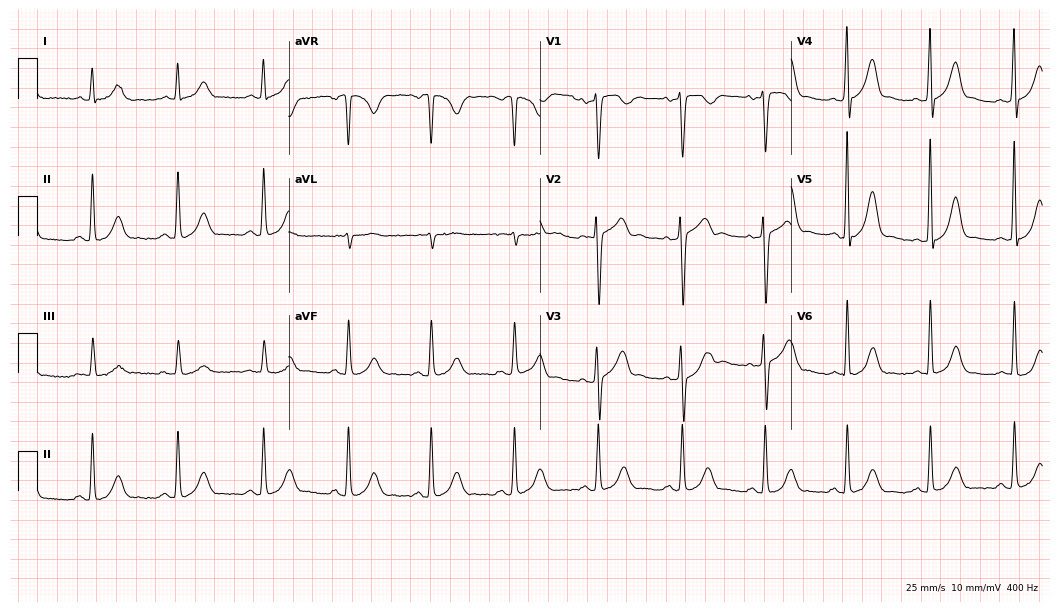
ECG (10.2-second recording at 400 Hz) — a male, 51 years old. Labelled as a normal ECG.